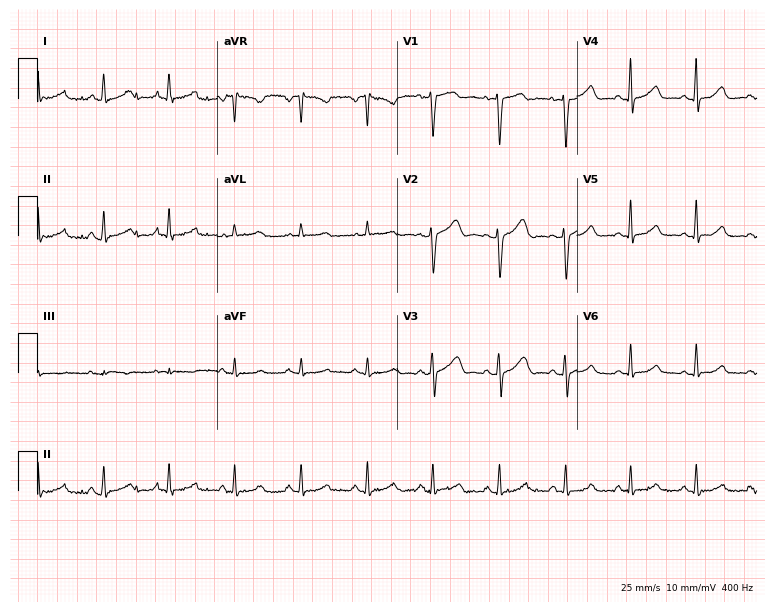
12-lead ECG (7.3-second recording at 400 Hz) from a woman, 43 years old. Labelled as a normal ECG.